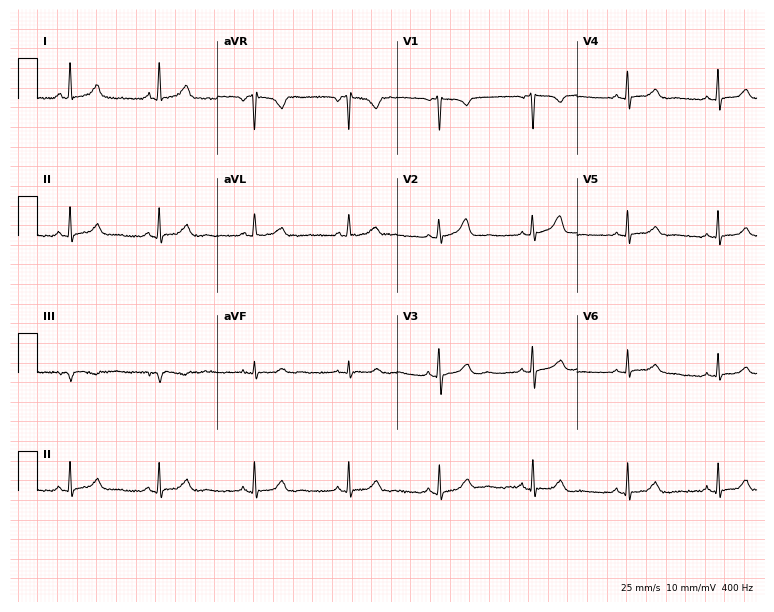
Standard 12-lead ECG recorded from a female, 46 years old. None of these six findings is recorded: first-degree AV block, right bundle branch block, left bundle branch block, sinus bradycardia, atrial fibrillation, sinus tachycardia.